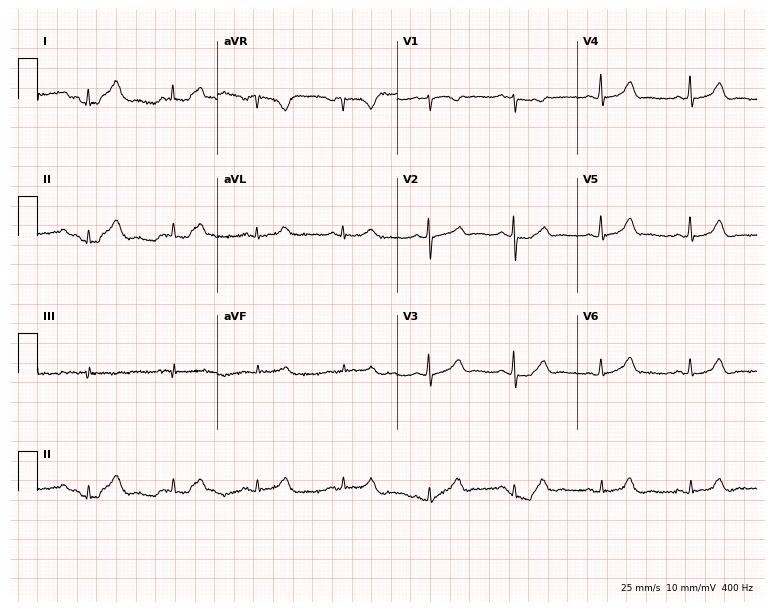
Resting 12-lead electrocardiogram. Patient: a female, 71 years old. None of these six findings is recorded: first-degree AV block, right bundle branch block (RBBB), left bundle branch block (LBBB), sinus bradycardia, atrial fibrillation (AF), sinus tachycardia.